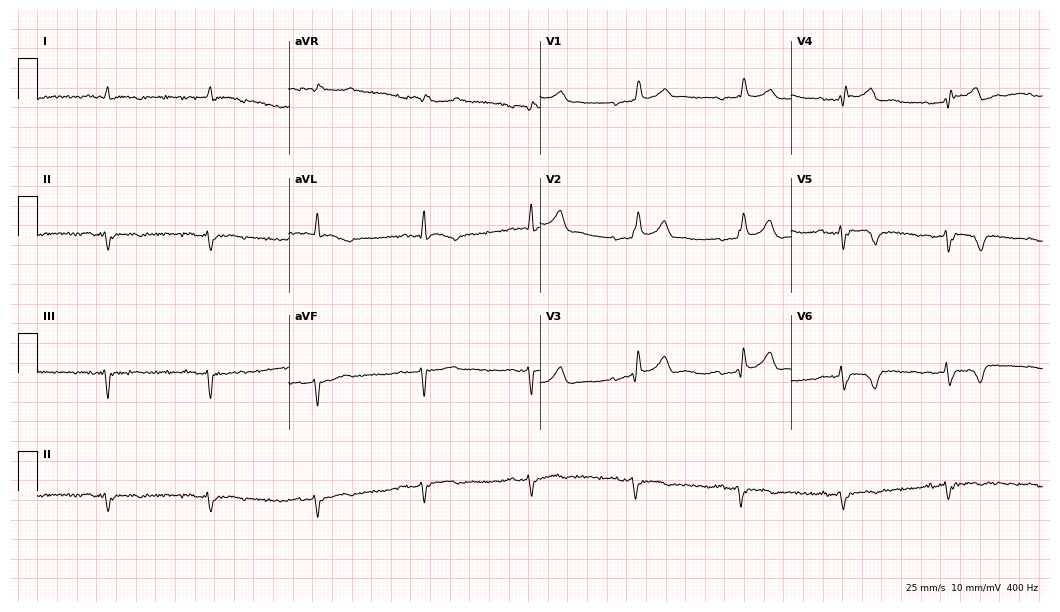
Electrocardiogram (10.2-second recording at 400 Hz), an 81-year-old male. Interpretation includes first-degree AV block, right bundle branch block.